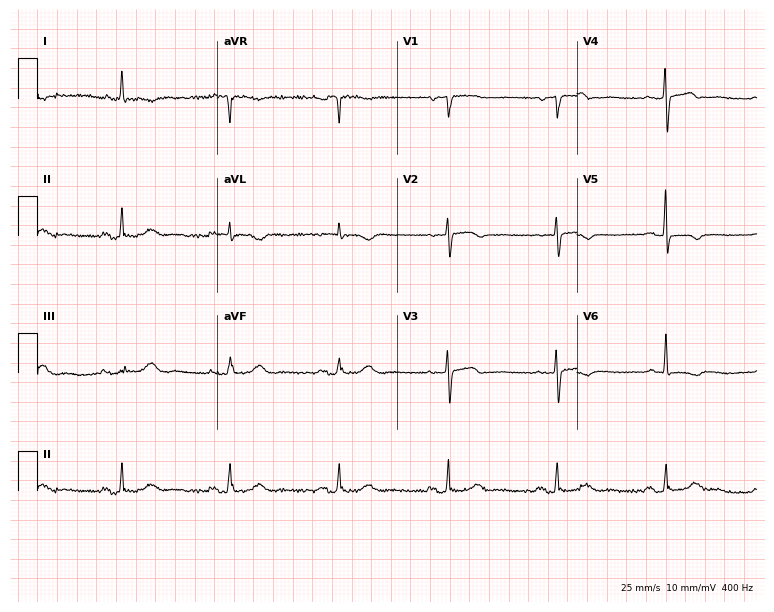
Standard 12-lead ECG recorded from a female patient, 85 years old. None of these six findings is recorded: first-degree AV block, right bundle branch block (RBBB), left bundle branch block (LBBB), sinus bradycardia, atrial fibrillation (AF), sinus tachycardia. Only these six findings were labelled.